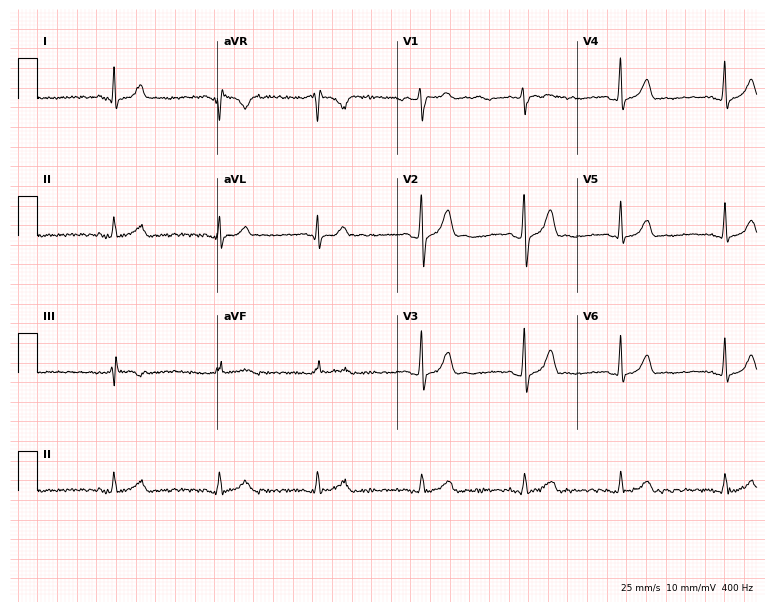
Electrocardiogram (7.3-second recording at 400 Hz), a male patient, 27 years old. Overall reading on record: normal ECG.